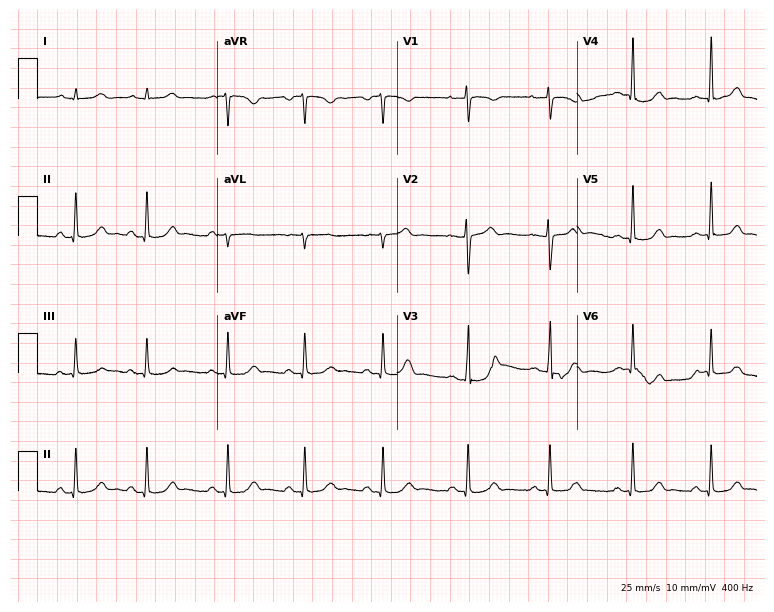
Resting 12-lead electrocardiogram (7.3-second recording at 400 Hz). Patient: a female, 32 years old. Read as a normal ECG.